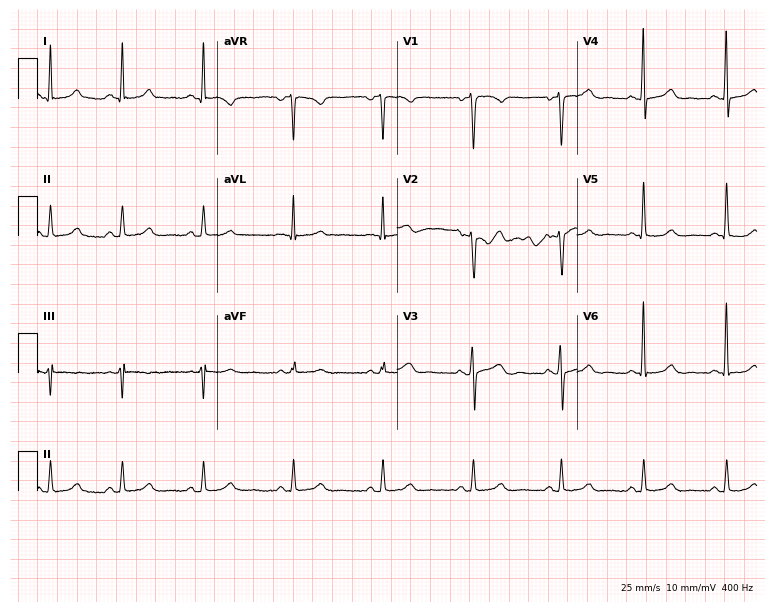
12-lead ECG (7.3-second recording at 400 Hz) from a 36-year-old woman. Labelled as a normal ECG.